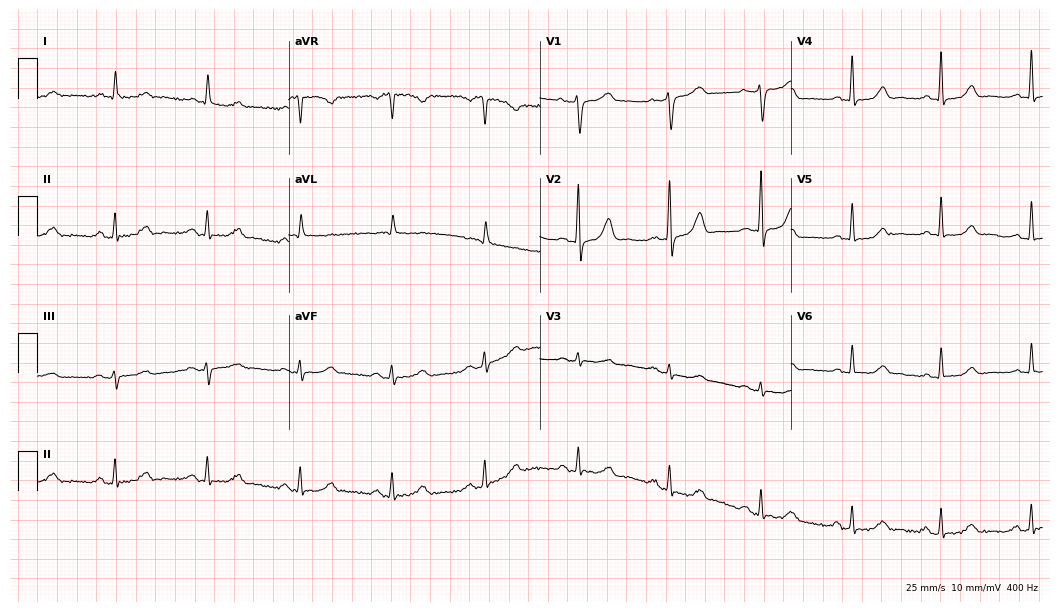
Standard 12-lead ECG recorded from a woman, 75 years old. Read as a normal ECG.